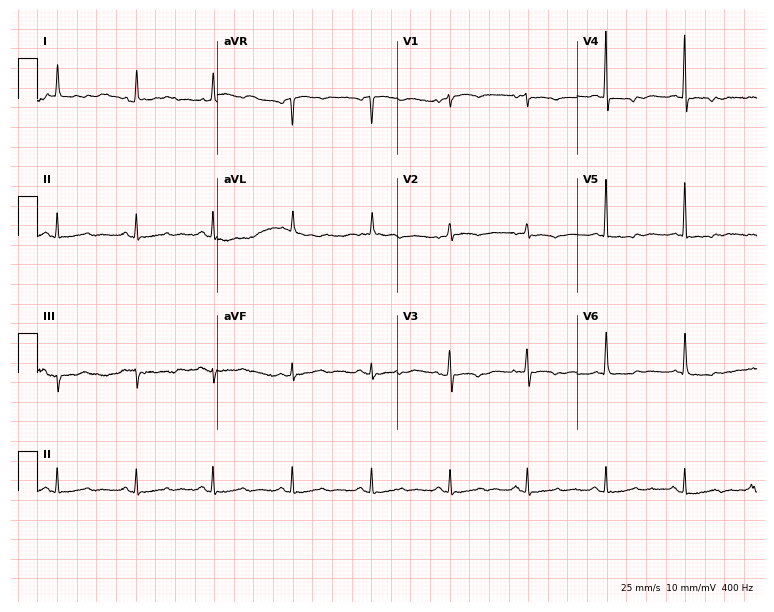
Standard 12-lead ECG recorded from an 85-year-old female patient (7.3-second recording at 400 Hz). None of these six findings is recorded: first-degree AV block, right bundle branch block, left bundle branch block, sinus bradycardia, atrial fibrillation, sinus tachycardia. Findings outside these six are not listed.